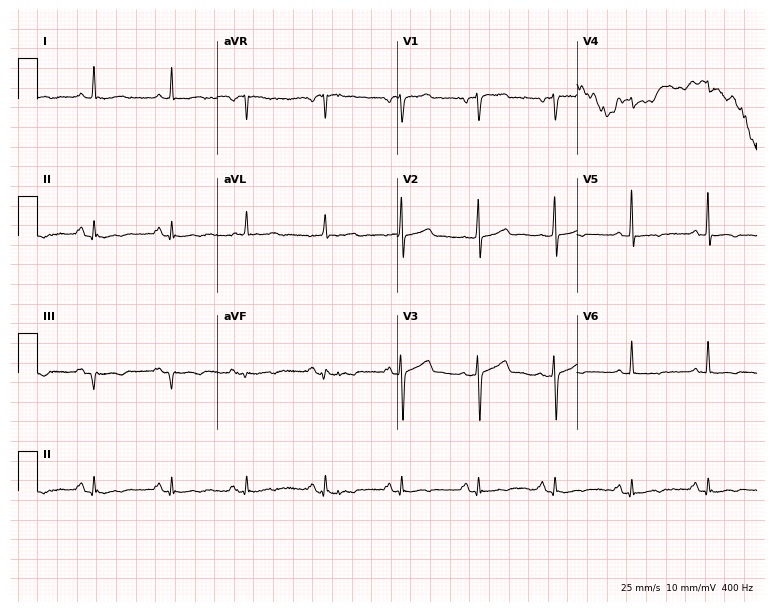
12-lead ECG from a 79-year-old man. No first-degree AV block, right bundle branch block (RBBB), left bundle branch block (LBBB), sinus bradycardia, atrial fibrillation (AF) or sinus tachycardia recorded for this tracing. Other findings, if any, are not listed.